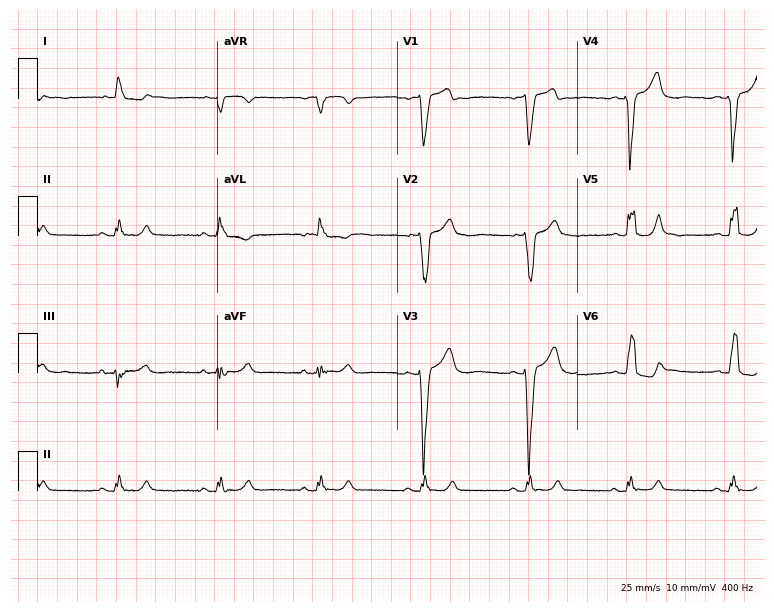
Resting 12-lead electrocardiogram. Patient: a male, 68 years old. The tracing shows left bundle branch block.